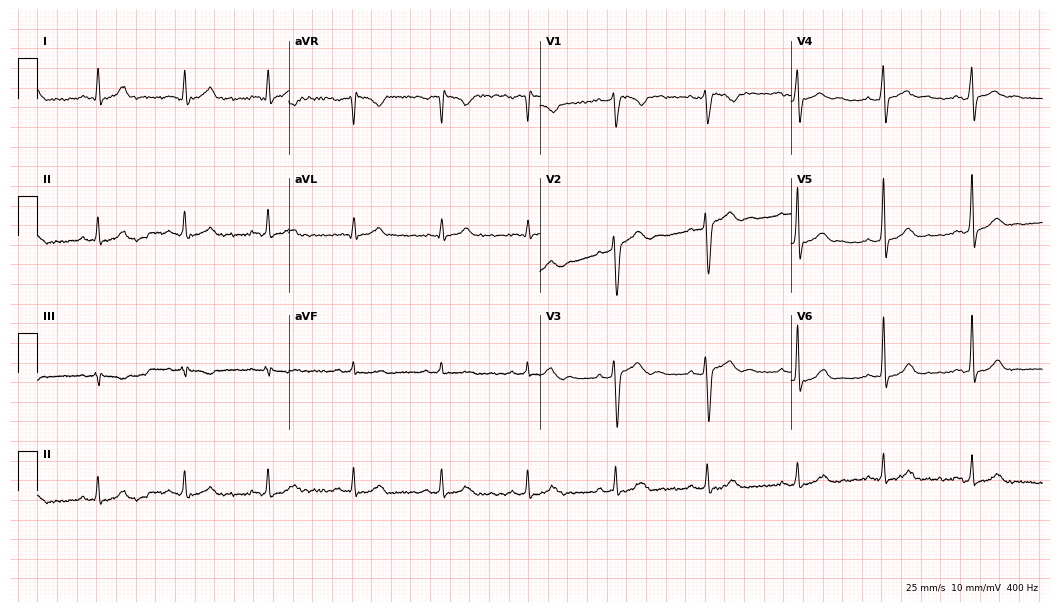
12-lead ECG (10.2-second recording at 400 Hz) from a 32-year-old man. Labelled as a normal ECG.